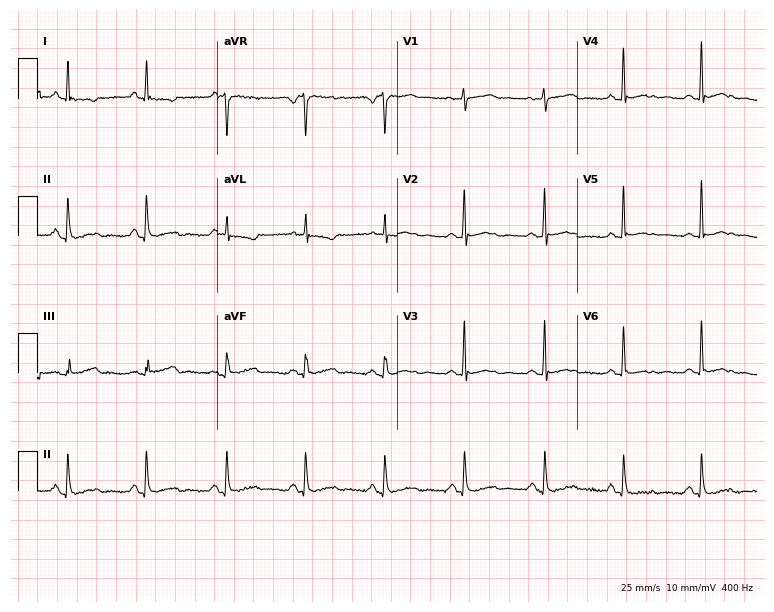
ECG (7.3-second recording at 400 Hz) — a woman, 56 years old. Screened for six findings — first-degree AV block, right bundle branch block (RBBB), left bundle branch block (LBBB), sinus bradycardia, atrial fibrillation (AF), sinus tachycardia — none is recorded. Other findings, if any, are not listed.